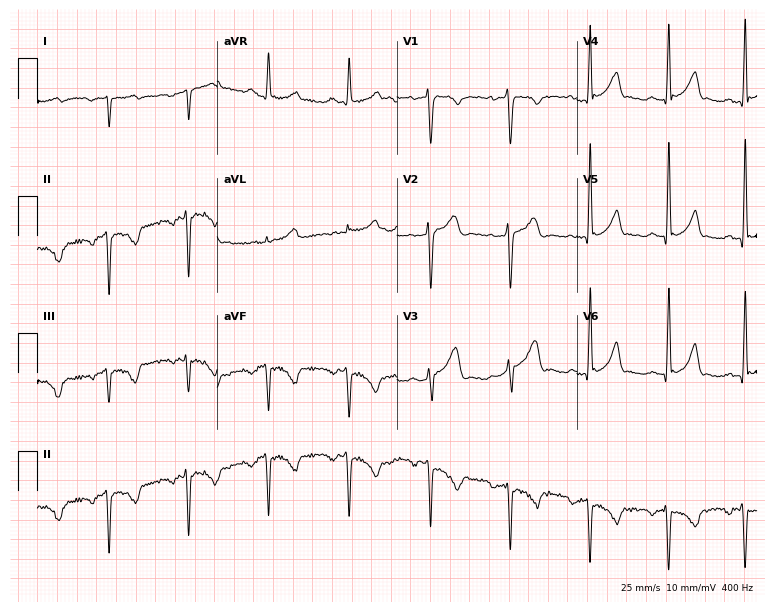
Standard 12-lead ECG recorded from a man, 26 years old. None of these six findings is recorded: first-degree AV block, right bundle branch block, left bundle branch block, sinus bradycardia, atrial fibrillation, sinus tachycardia.